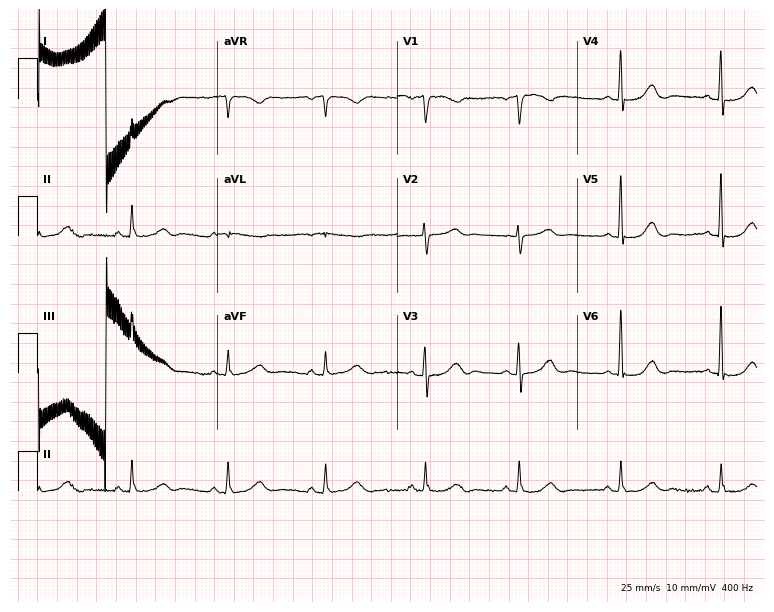
12-lead ECG (7.3-second recording at 400 Hz) from a female patient, 72 years old. Screened for six findings — first-degree AV block, right bundle branch block, left bundle branch block, sinus bradycardia, atrial fibrillation, sinus tachycardia — none is recorded.